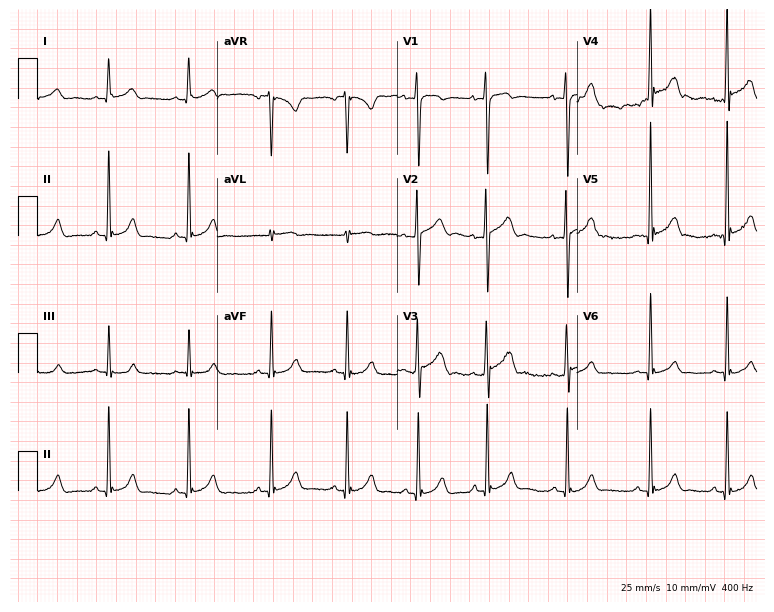
ECG (7.3-second recording at 400 Hz) — a male patient, 17 years old. Labelled as a normal ECG.